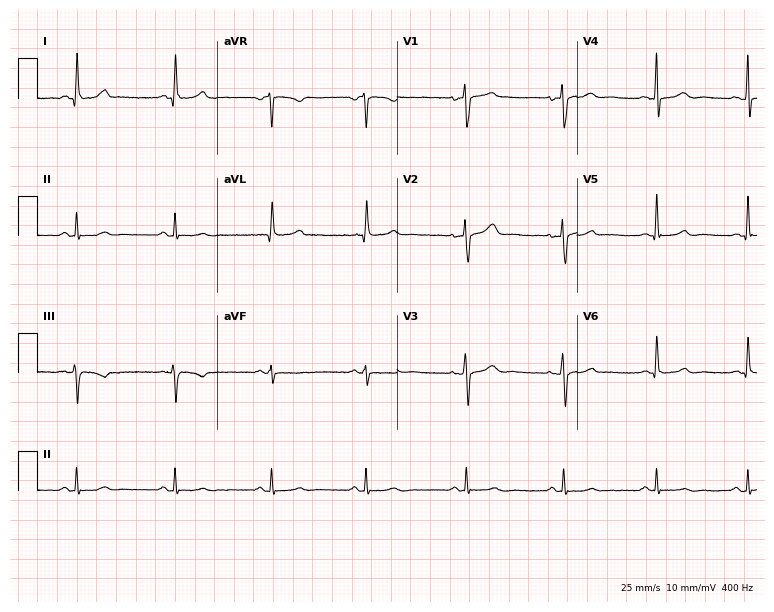
12-lead ECG from a woman, 60 years old. Recorded interpretation: within normal limits.